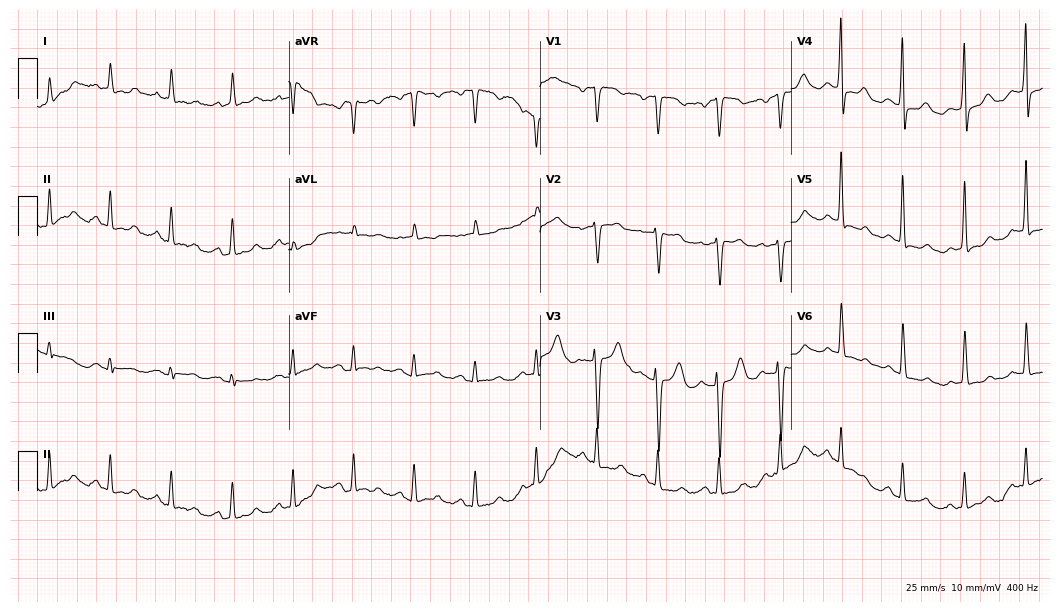
Standard 12-lead ECG recorded from a 48-year-old female patient (10.2-second recording at 400 Hz). Read as a normal ECG.